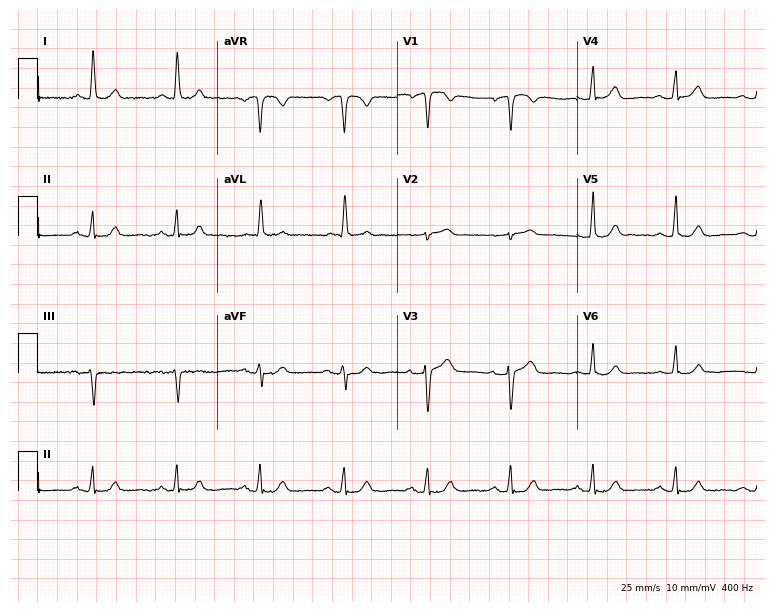
ECG — an 81-year-old female. Labelled as a normal ECG.